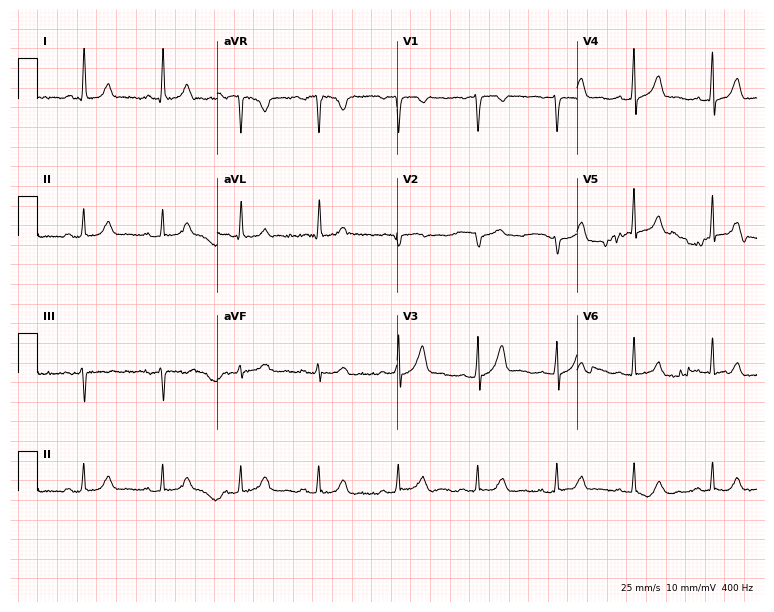
ECG (7.3-second recording at 400 Hz) — a woman, 64 years old. Labelled as a normal ECG.